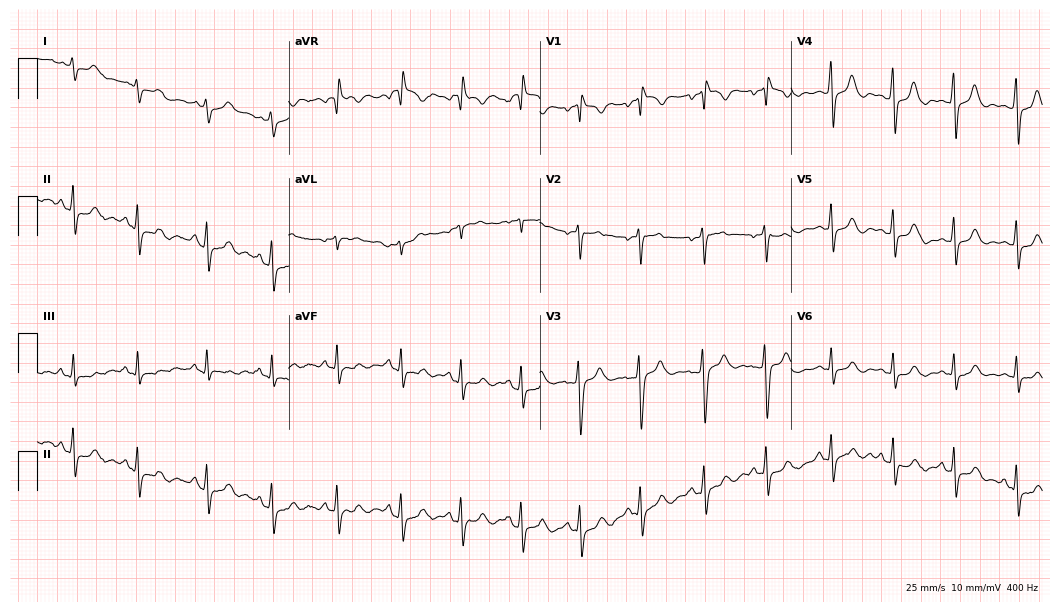
12-lead ECG (10.2-second recording at 400 Hz) from a 26-year-old female patient. Labelled as a normal ECG.